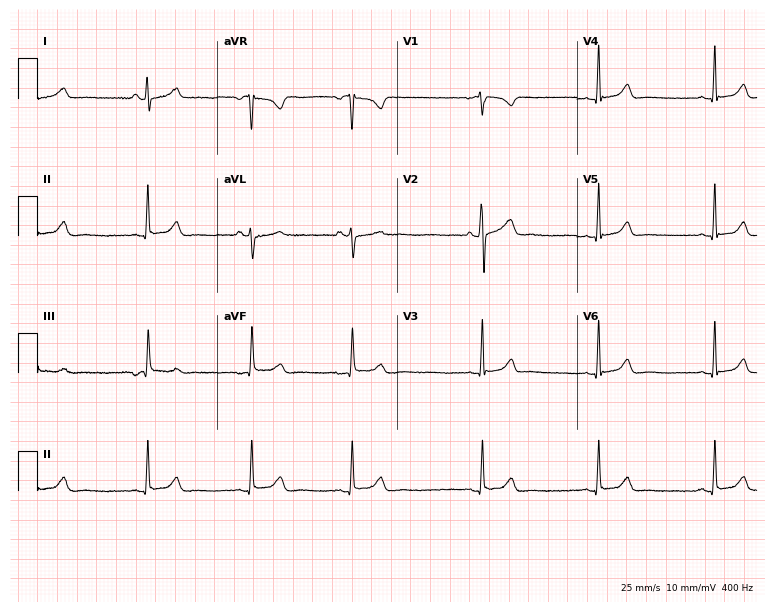
ECG — an 18-year-old female patient. Labelled as a normal ECG.